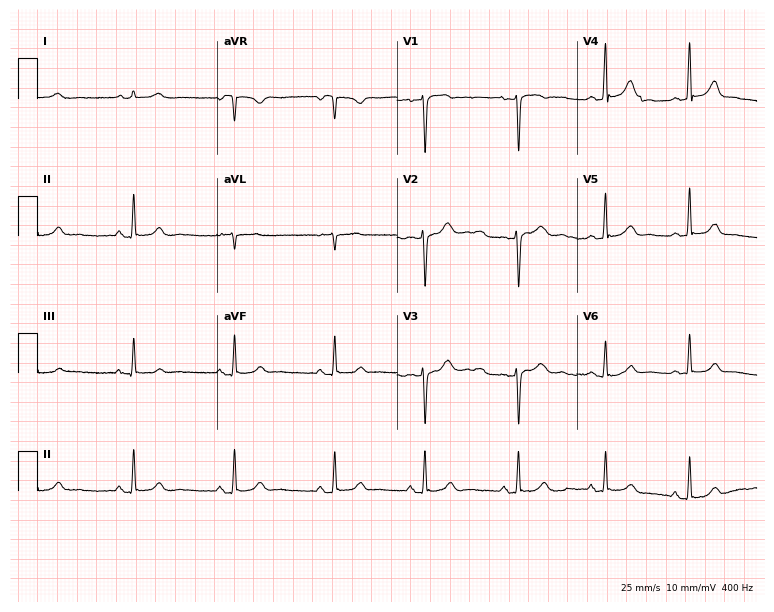
ECG (7.3-second recording at 400 Hz) — a 31-year-old woman. Labelled as a normal ECG.